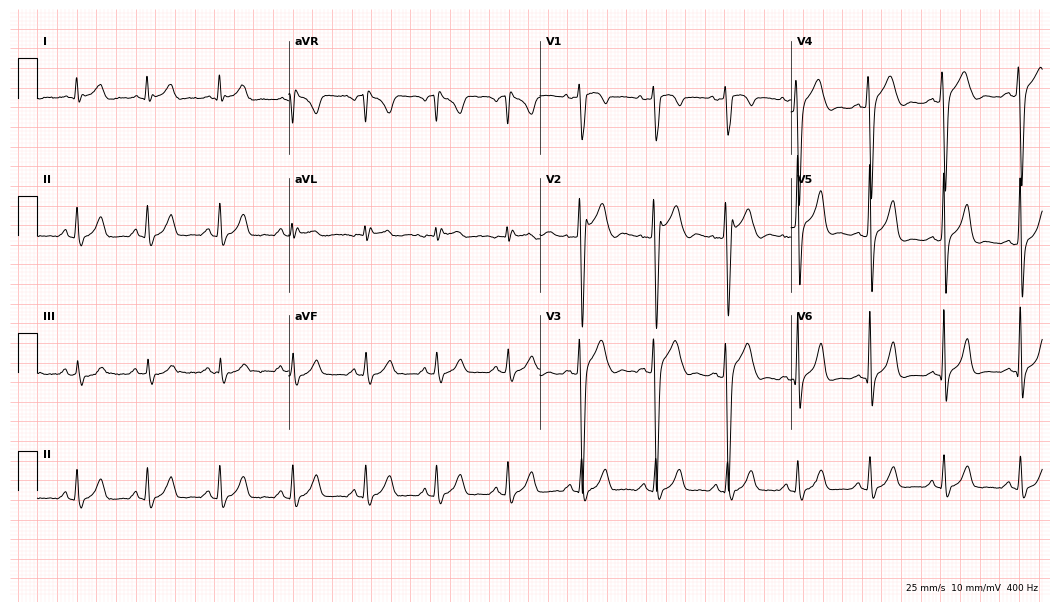
12-lead ECG from a 25-year-old man. No first-degree AV block, right bundle branch block, left bundle branch block, sinus bradycardia, atrial fibrillation or sinus tachycardia recorded for this tracing. Findings outside these six are not listed.